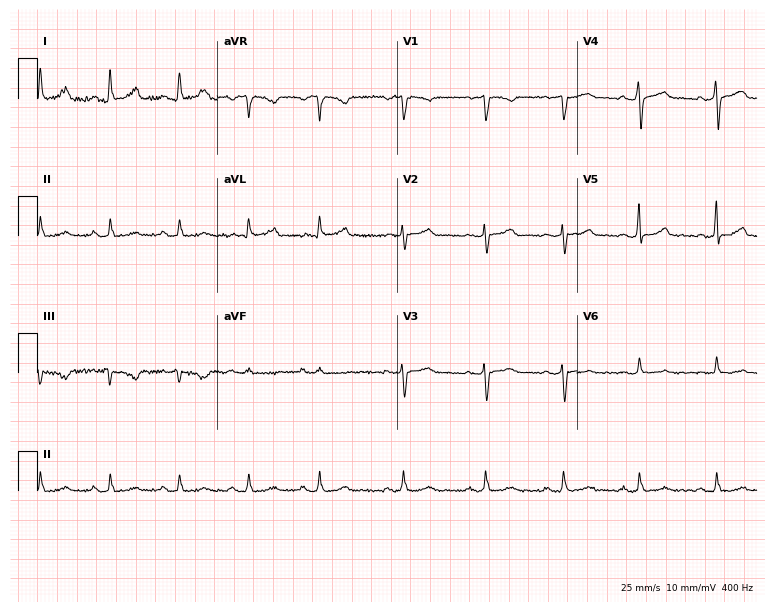
12-lead ECG (7.3-second recording at 400 Hz) from a female, 31 years old. Labelled as a normal ECG.